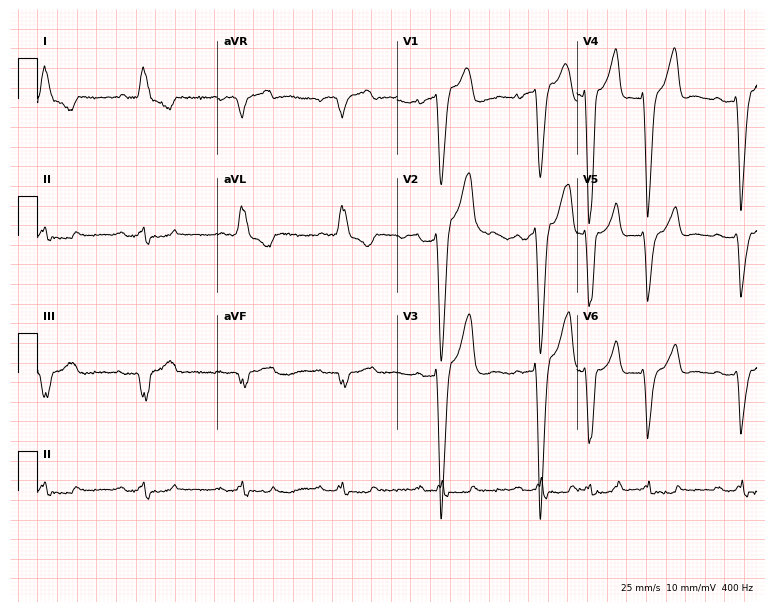
Electrocardiogram (7.3-second recording at 400 Hz), a male, 82 years old. Interpretation includes left bundle branch block.